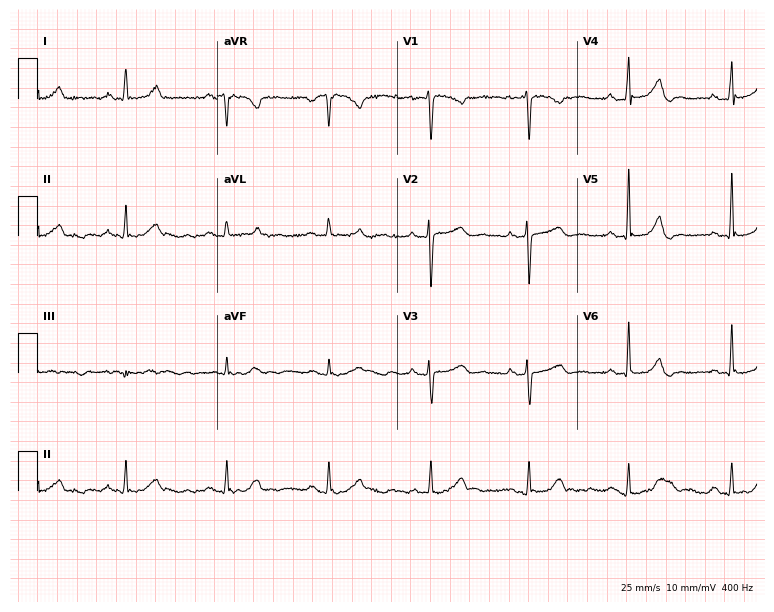
Resting 12-lead electrocardiogram (7.3-second recording at 400 Hz). Patient: a female, 47 years old. Read as a normal ECG.